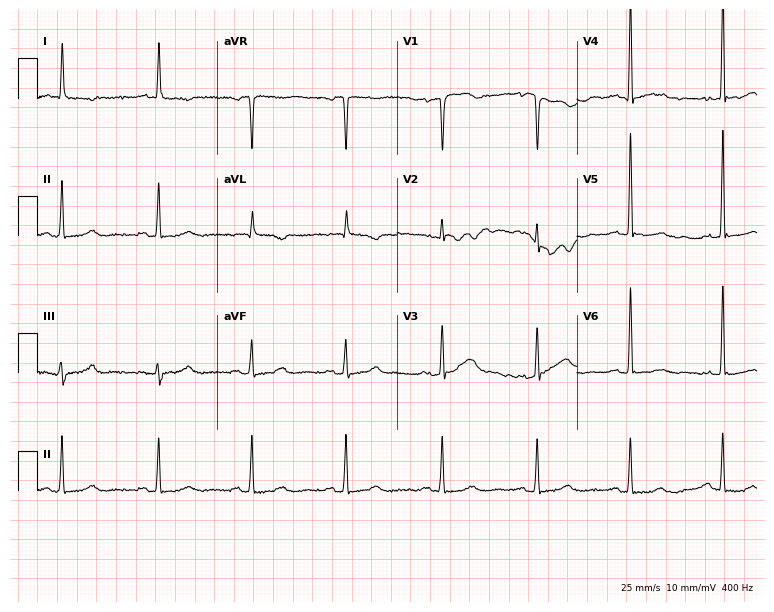
12-lead ECG from an 81-year-old woman (7.3-second recording at 400 Hz). Recorded interpretation: within normal limits.